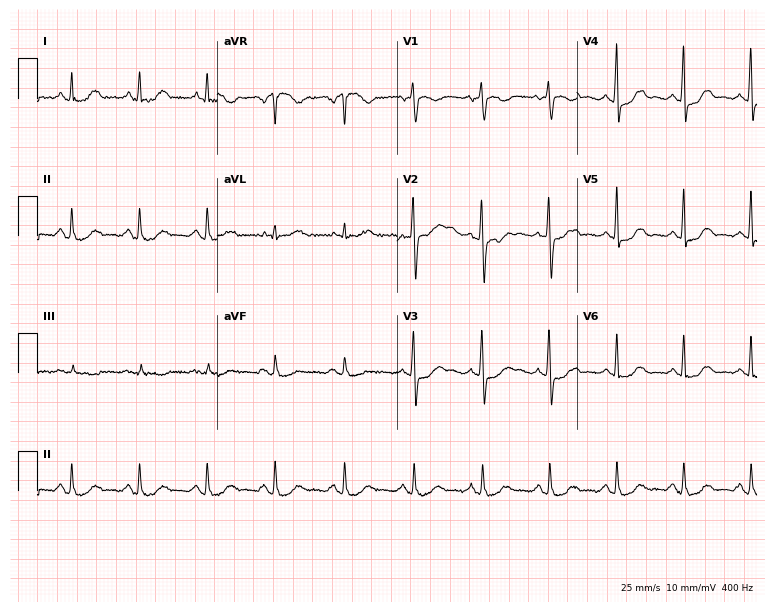
ECG — a 66-year-old female patient. Screened for six findings — first-degree AV block, right bundle branch block, left bundle branch block, sinus bradycardia, atrial fibrillation, sinus tachycardia — none is recorded. Only these six findings were labelled.